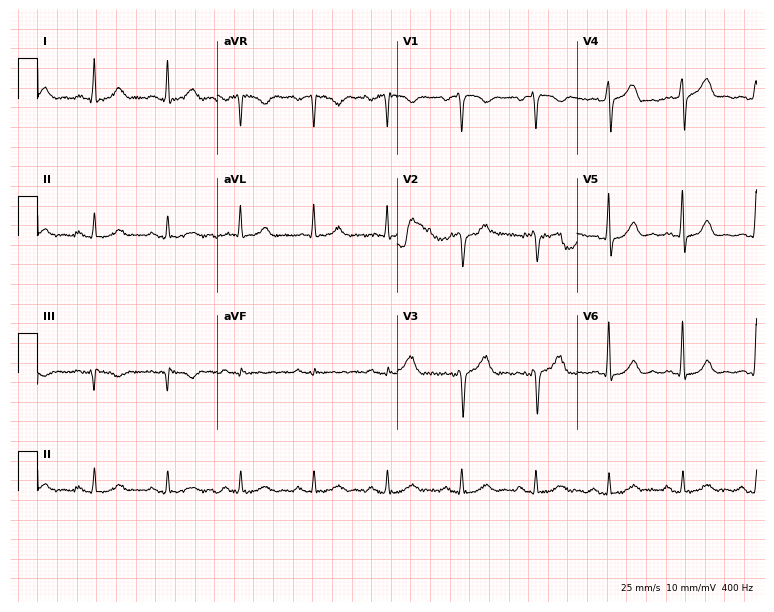
ECG — a 65-year-old man. Labelled as a normal ECG.